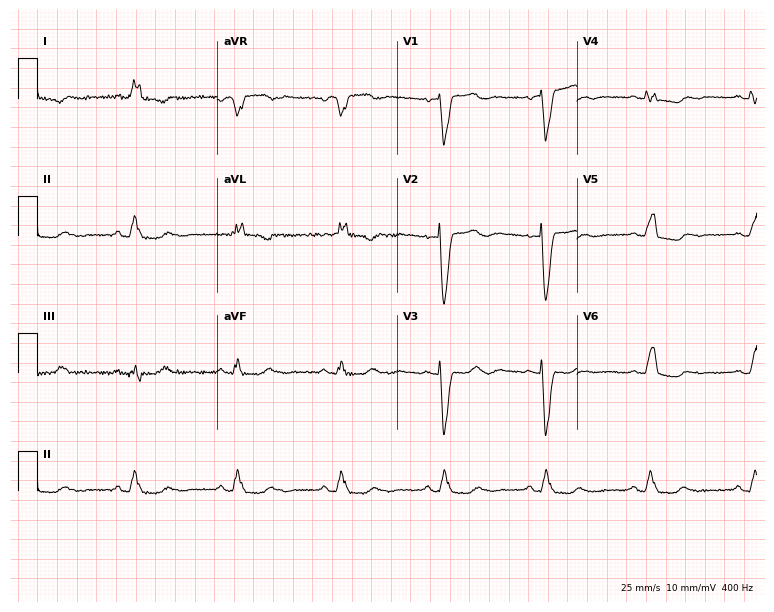
ECG (7.3-second recording at 400 Hz) — a female, 62 years old. Findings include left bundle branch block (LBBB).